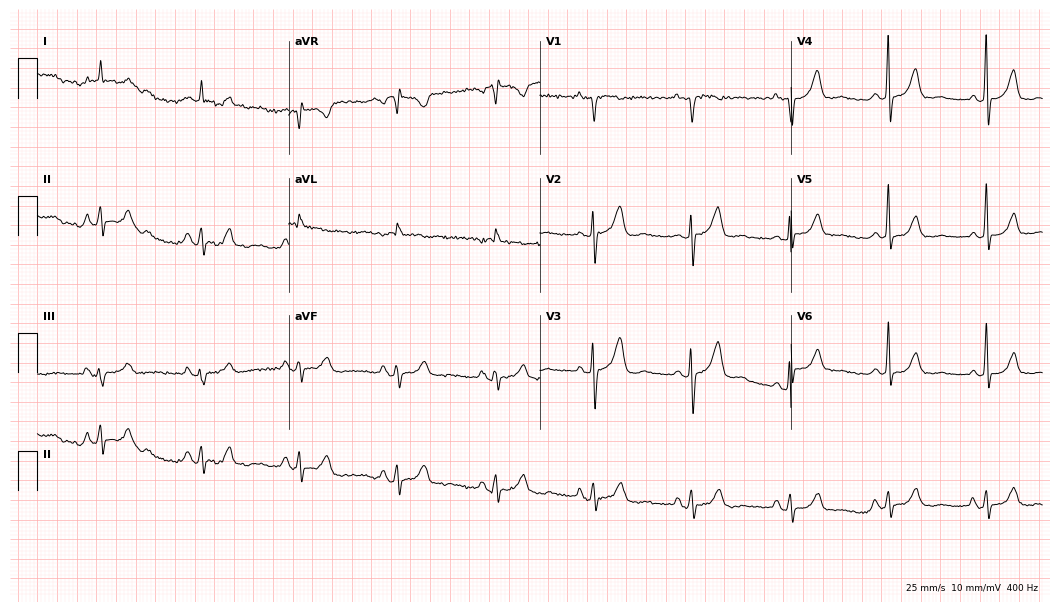
12-lead ECG from an 81-year-old male patient. Screened for six findings — first-degree AV block, right bundle branch block, left bundle branch block, sinus bradycardia, atrial fibrillation, sinus tachycardia — none is recorded.